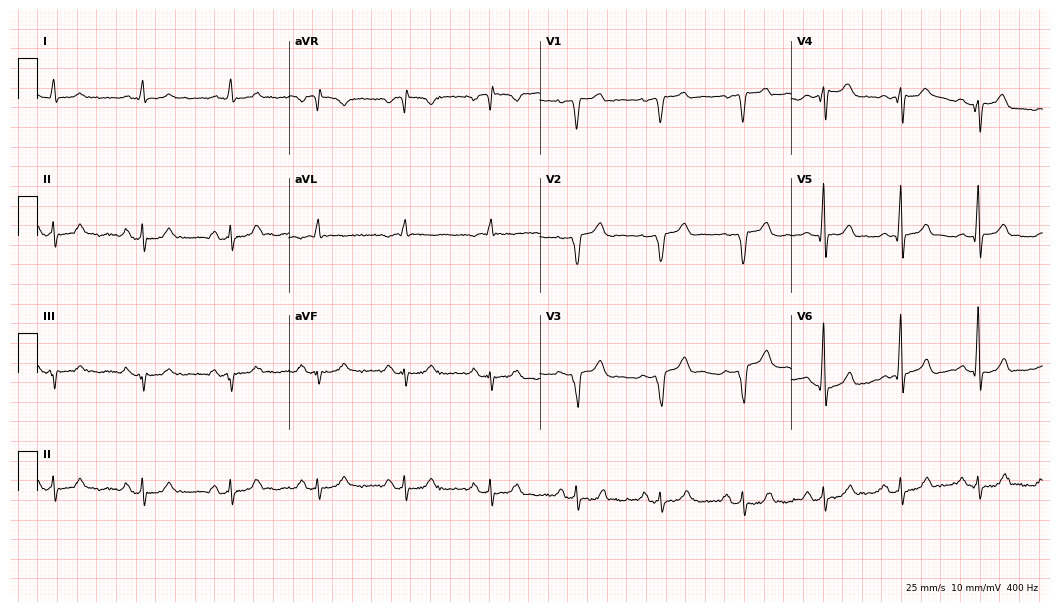
Electrocardiogram, an 80-year-old male. Of the six screened findings (first-degree AV block, right bundle branch block (RBBB), left bundle branch block (LBBB), sinus bradycardia, atrial fibrillation (AF), sinus tachycardia), none is recorded.